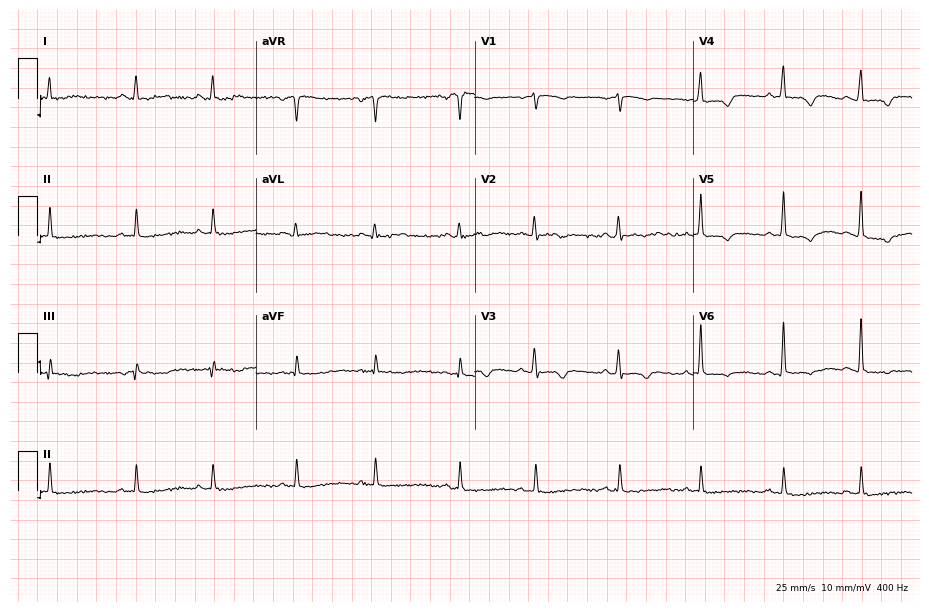
12-lead ECG from a 75-year-old woman. Screened for six findings — first-degree AV block, right bundle branch block, left bundle branch block, sinus bradycardia, atrial fibrillation, sinus tachycardia — none is recorded. Only these six findings were labelled.